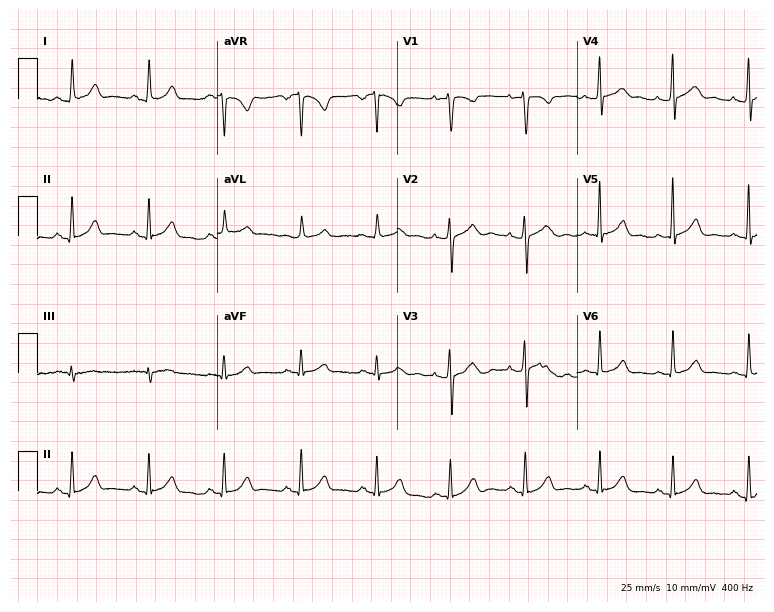
Standard 12-lead ECG recorded from a female, 32 years old. Read as a normal ECG.